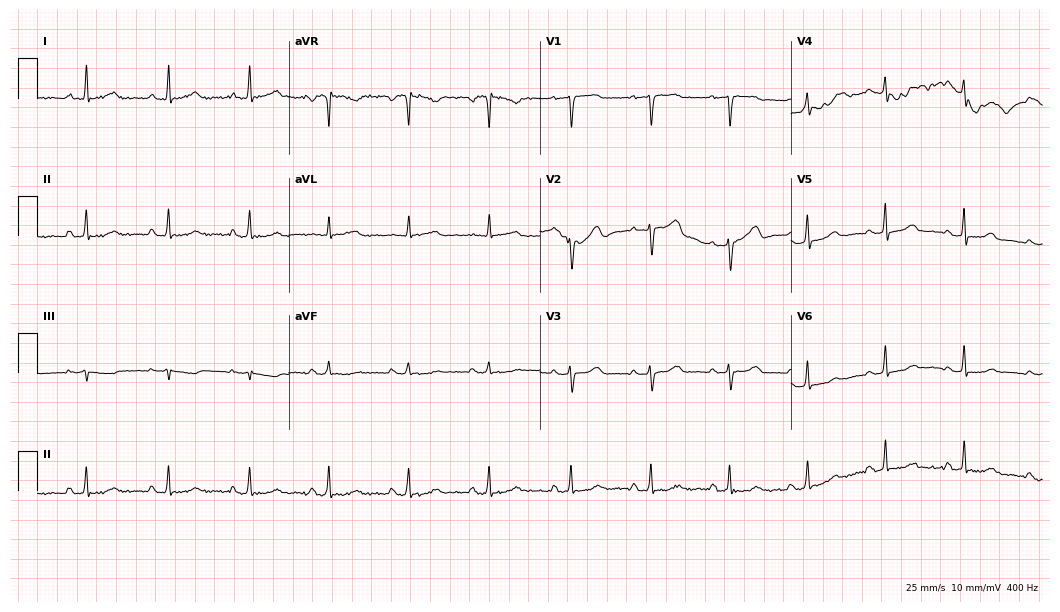
ECG — a 55-year-old female. Screened for six findings — first-degree AV block, right bundle branch block (RBBB), left bundle branch block (LBBB), sinus bradycardia, atrial fibrillation (AF), sinus tachycardia — none is recorded.